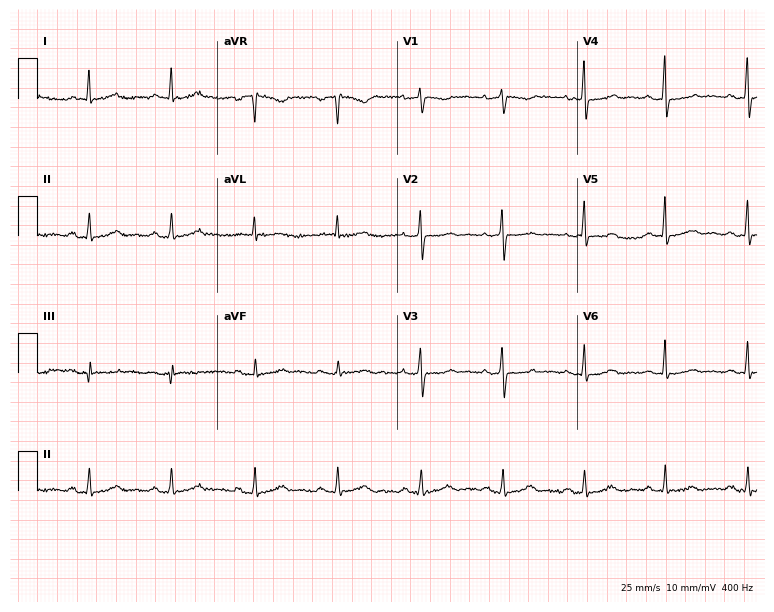
ECG (7.3-second recording at 400 Hz) — a 57-year-old female patient. Screened for six findings — first-degree AV block, right bundle branch block, left bundle branch block, sinus bradycardia, atrial fibrillation, sinus tachycardia — none is recorded. Only these six findings were labelled.